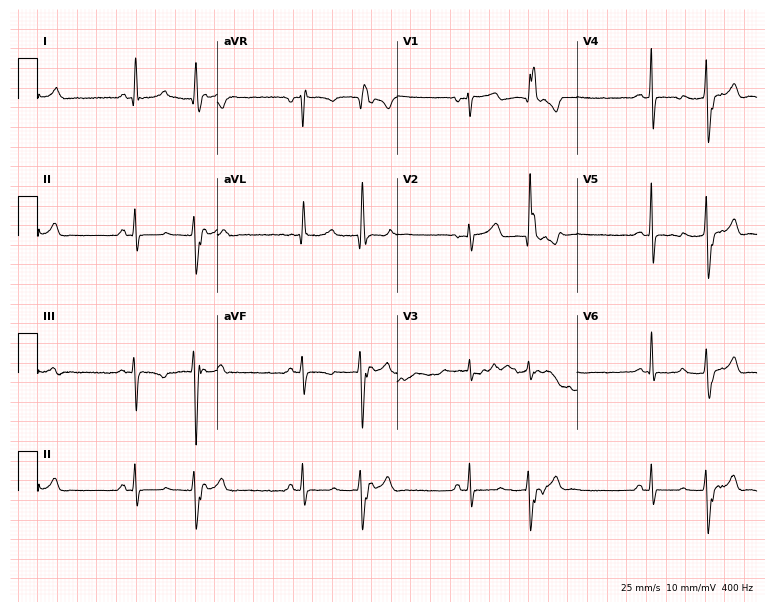
12-lead ECG from a man, 64 years old. Screened for six findings — first-degree AV block, right bundle branch block, left bundle branch block, sinus bradycardia, atrial fibrillation, sinus tachycardia — none is recorded.